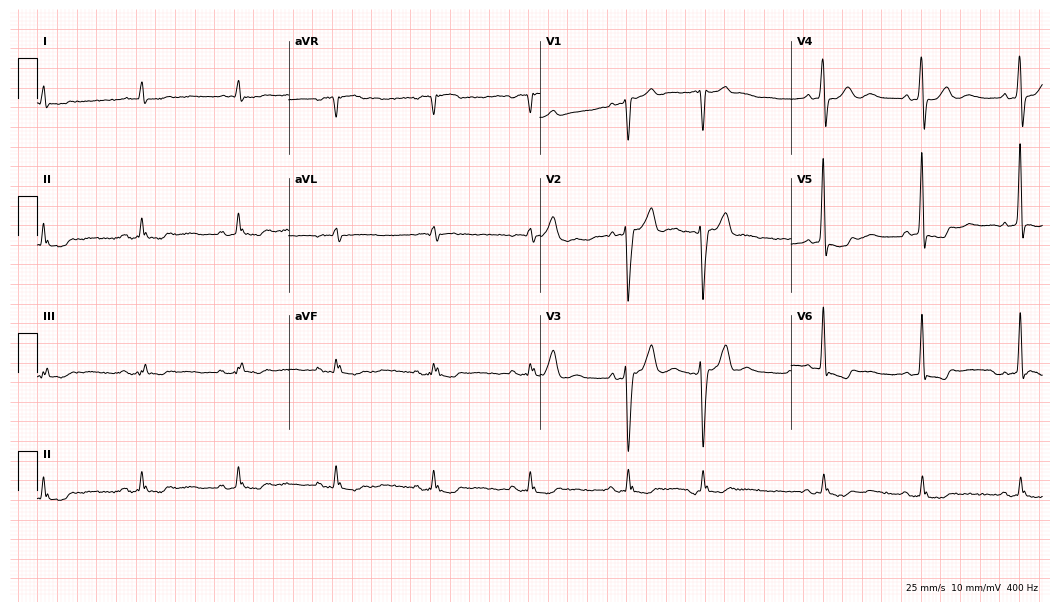
Resting 12-lead electrocardiogram (10.2-second recording at 400 Hz). Patient: a 74-year-old man. None of these six findings is recorded: first-degree AV block, right bundle branch block, left bundle branch block, sinus bradycardia, atrial fibrillation, sinus tachycardia. Only these six findings were labelled.